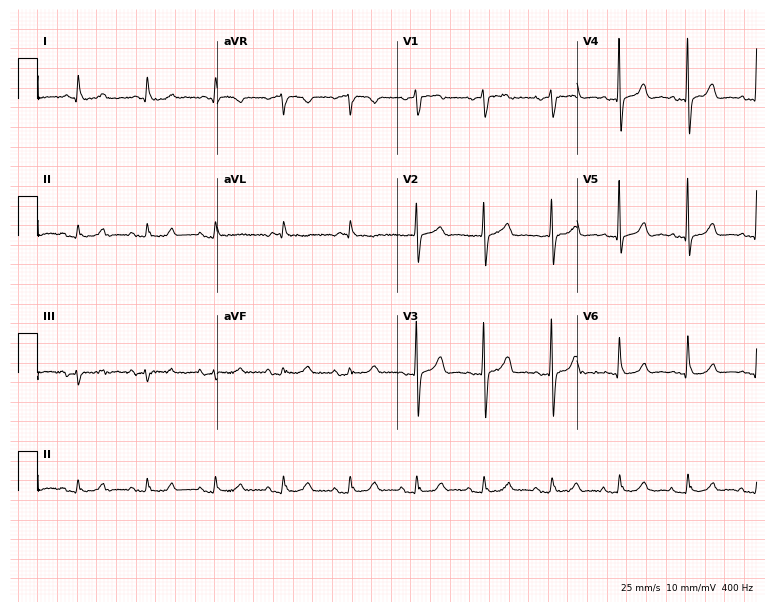
Resting 12-lead electrocardiogram. Patient: a male, 80 years old. Read as a normal ECG.